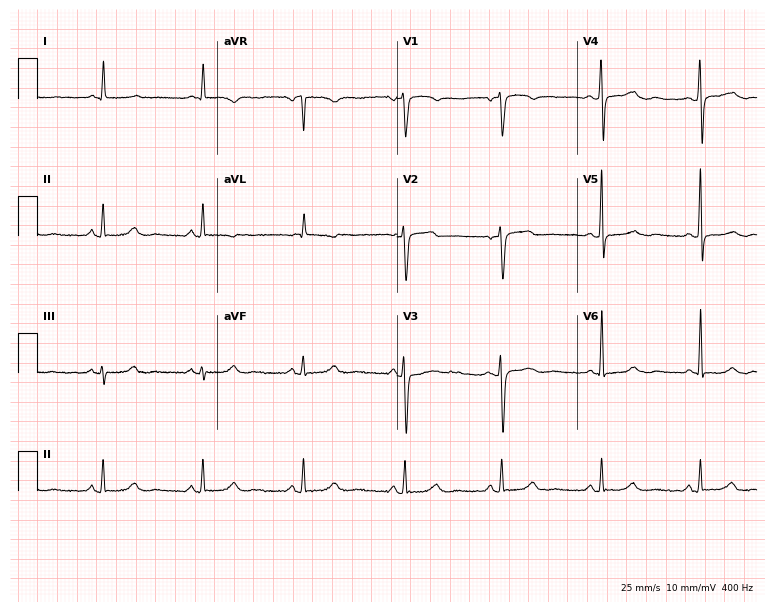
12-lead ECG from a 59-year-old female. Findings include sinus bradycardia (a sinus rate of 50 beats per minute or less).